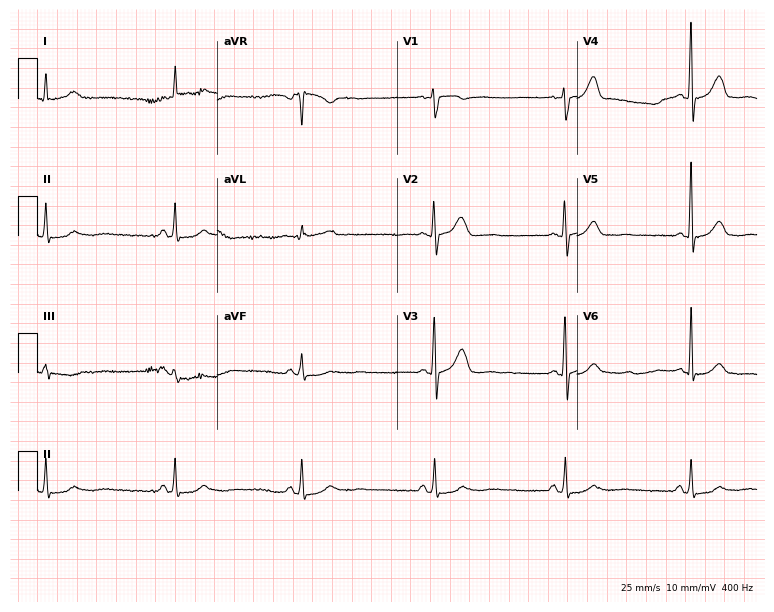
Electrocardiogram, a 55-year-old female patient. Interpretation includes sinus bradycardia (a sinus rate of 50 beats per minute or less).